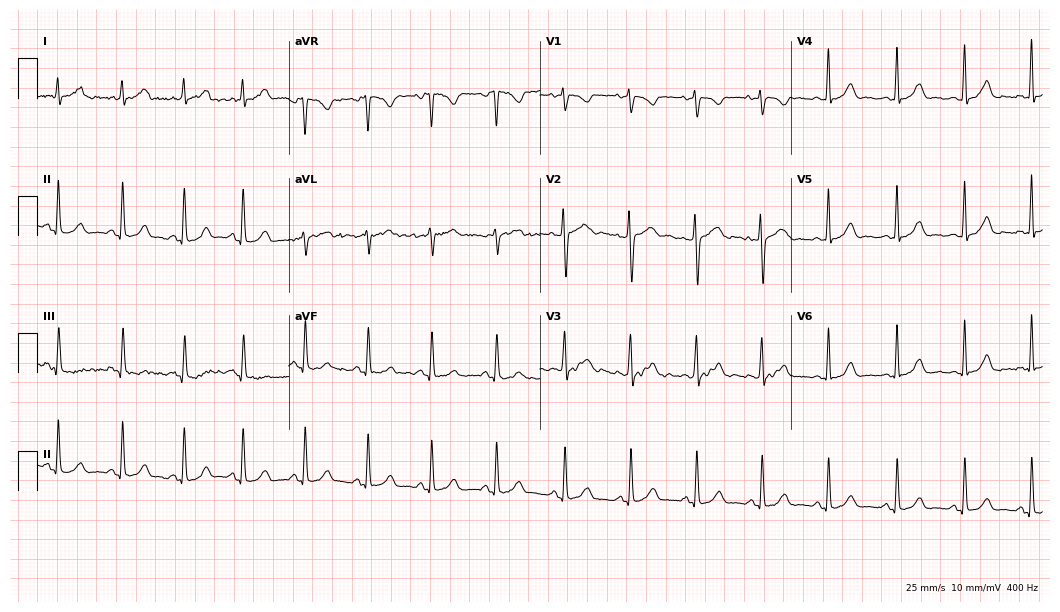
12-lead ECG (10.2-second recording at 400 Hz) from a female patient, 28 years old. Labelled as a normal ECG.